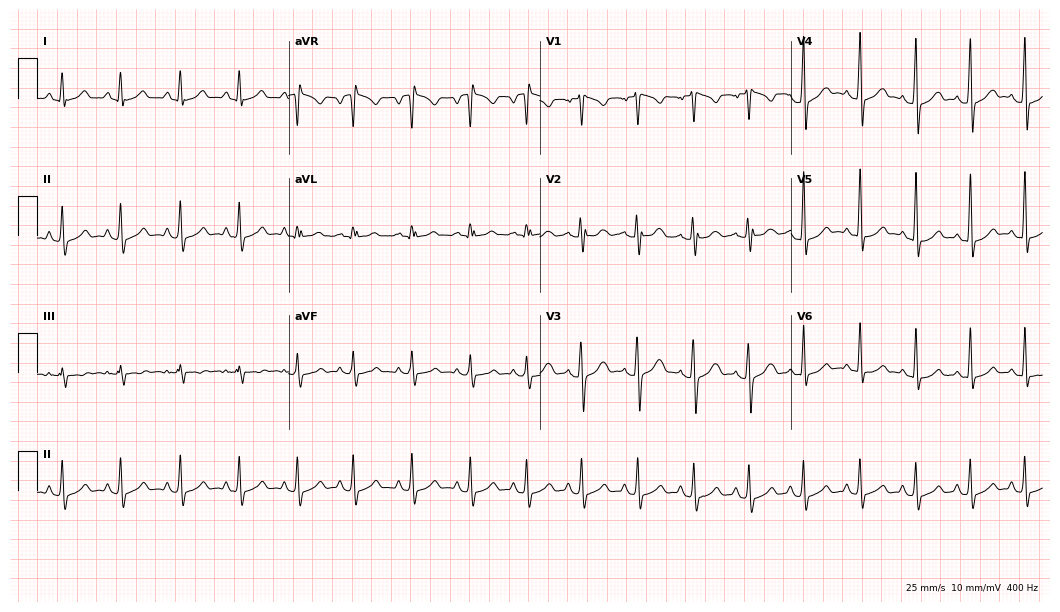
12-lead ECG from a 17-year-old male. Recorded interpretation: within normal limits.